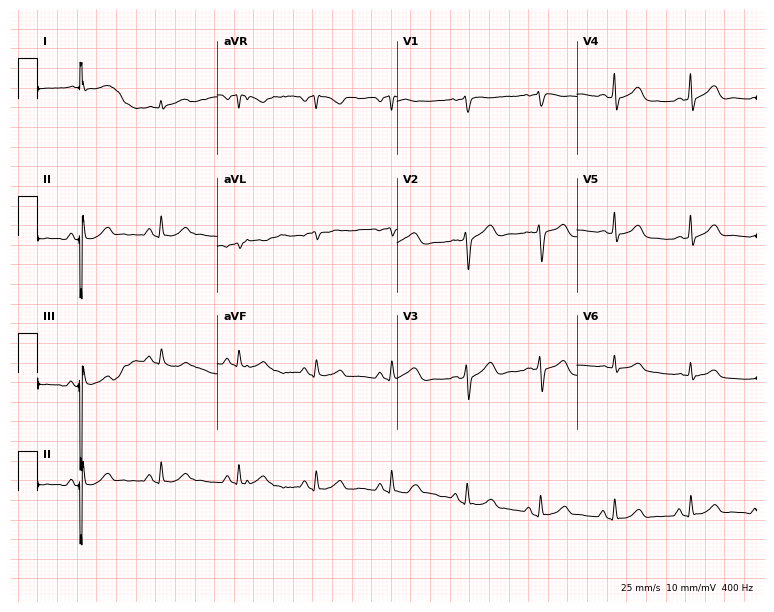
Standard 12-lead ECG recorded from a 61-year-old male (7.3-second recording at 400 Hz). None of these six findings is recorded: first-degree AV block, right bundle branch block (RBBB), left bundle branch block (LBBB), sinus bradycardia, atrial fibrillation (AF), sinus tachycardia. Only these six findings were labelled.